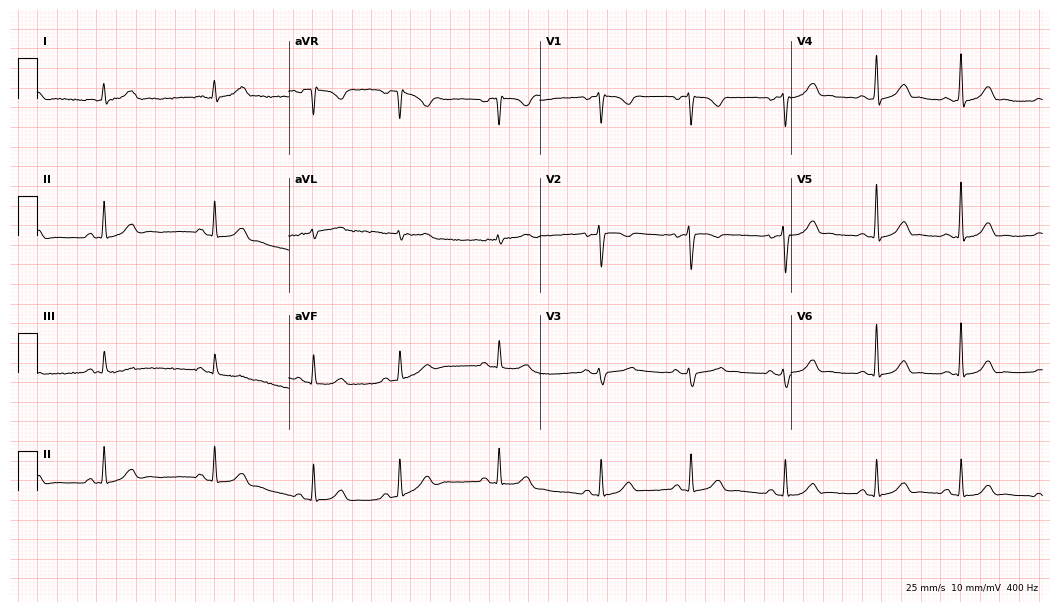
Electrocardiogram (10.2-second recording at 400 Hz), a 33-year-old female. Overall reading on record: normal ECG.